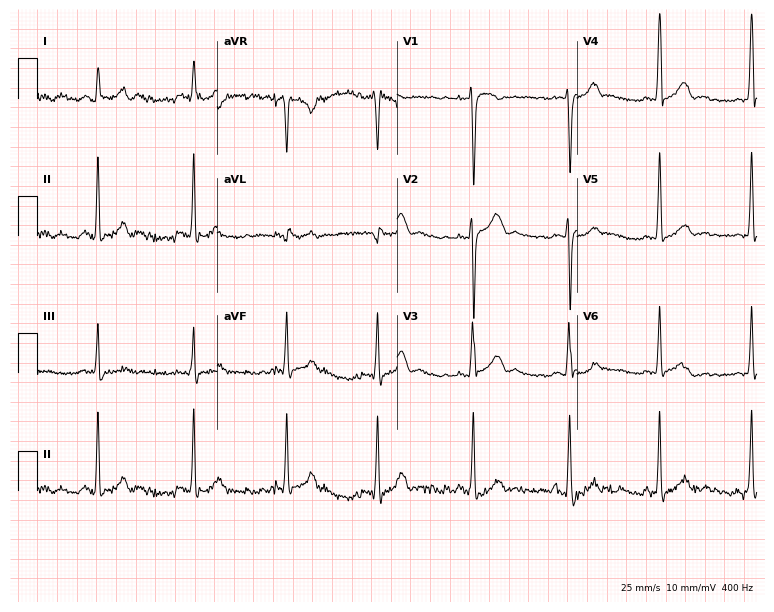
ECG (7.3-second recording at 400 Hz) — a man, 41 years old. Screened for six findings — first-degree AV block, right bundle branch block, left bundle branch block, sinus bradycardia, atrial fibrillation, sinus tachycardia — none is recorded. Other findings, if any, are not listed.